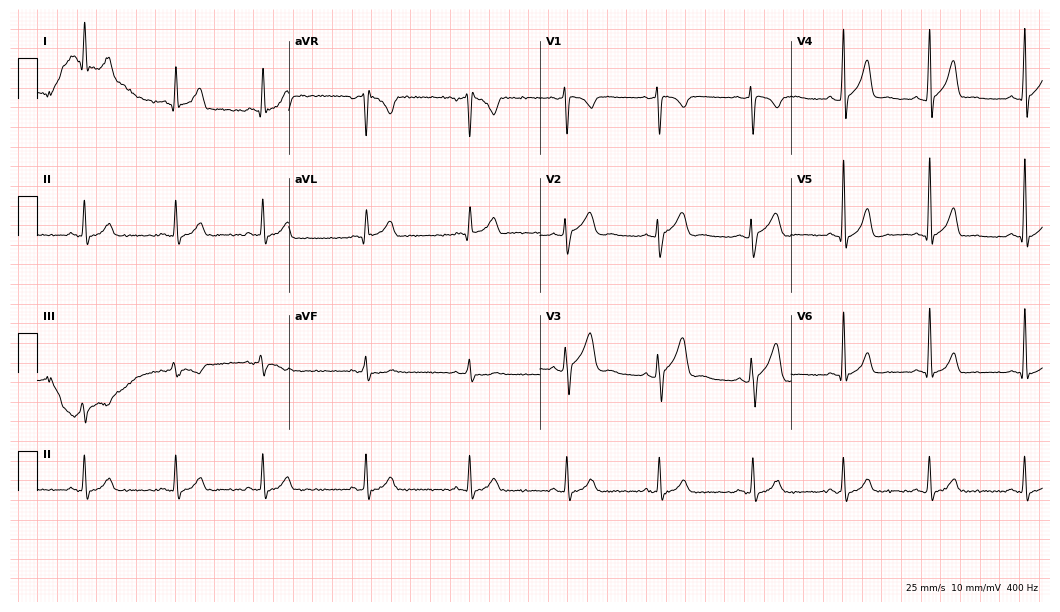
12-lead ECG from a 27-year-old man. Recorded interpretation: within normal limits.